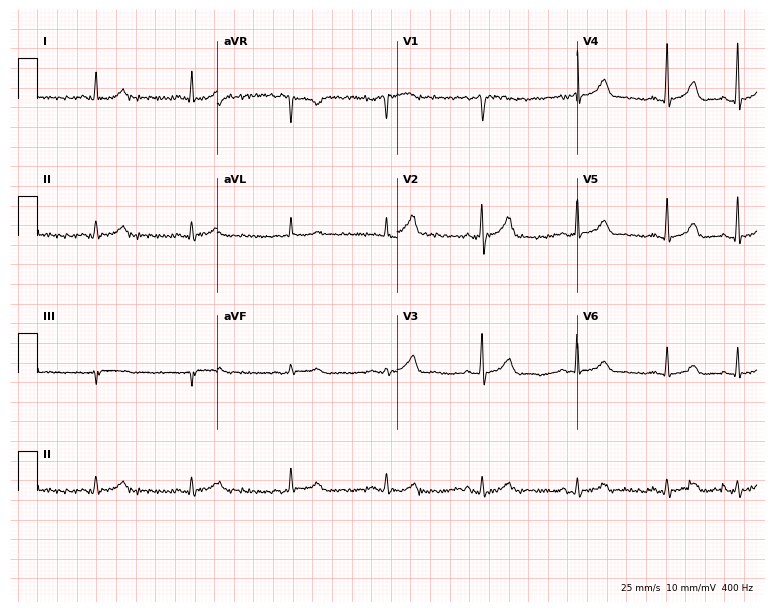
ECG (7.3-second recording at 400 Hz) — a man, 53 years old. Labelled as a normal ECG.